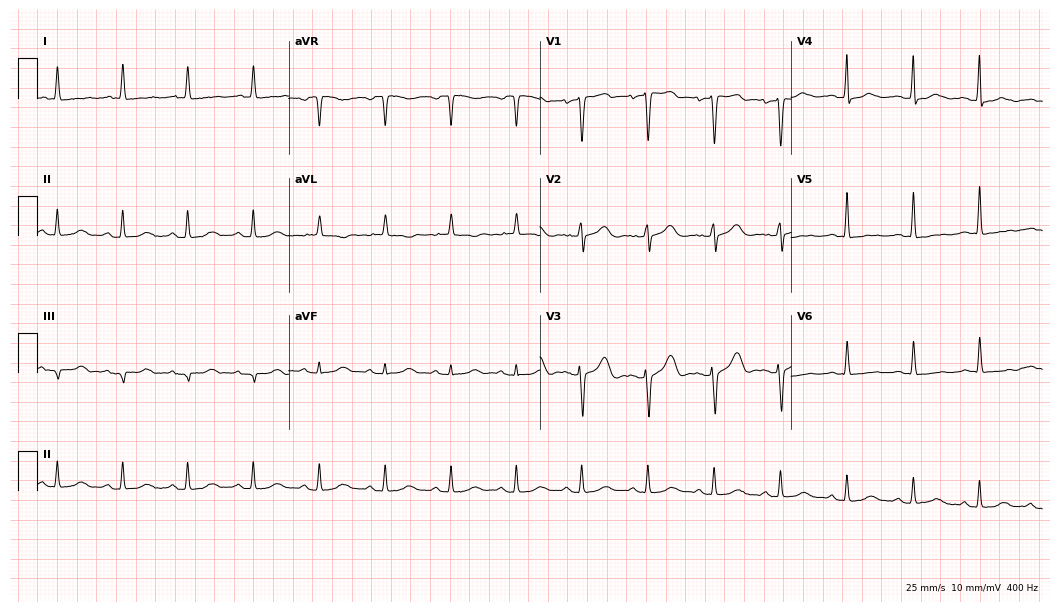
Electrocardiogram, a female patient, 65 years old. Of the six screened findings (first-degree AV block, right bundle branch block, left bundle branch block, sinus bradycardia, atrial fibrillation, sinus tachycardia), none is recorded. Only these six findings were labelled.